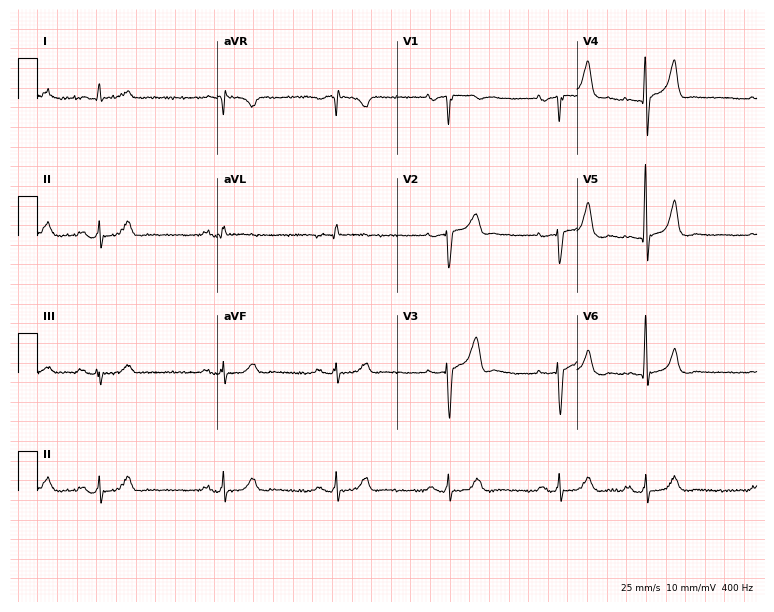
12-lead ECG from a 72-year-old male patient. Screened for six findings — first-degree AV block, right bundle branch block, left bundle branch block, sinus bradycardia, atrial fibrillation, sinus tachycardia — none is recorded. Findings outside these six are not listed.